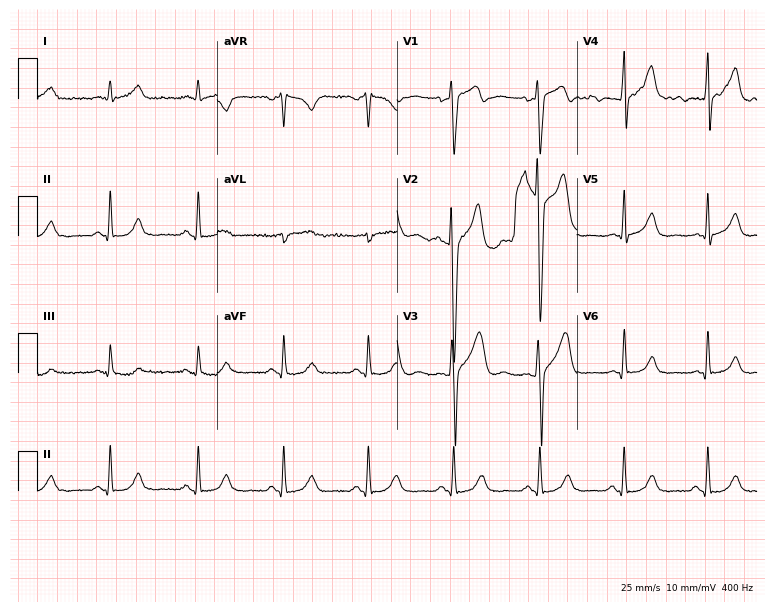
Standard 12-lead ECG recorded from a man, 37 years old. None of these six findings is recorded: first-degree AV block, right bundle branch block (RBBB), left bundle branch block (LBBB), sinus bradycardia, atrial fibrillation (AF), sinus tachycardia.